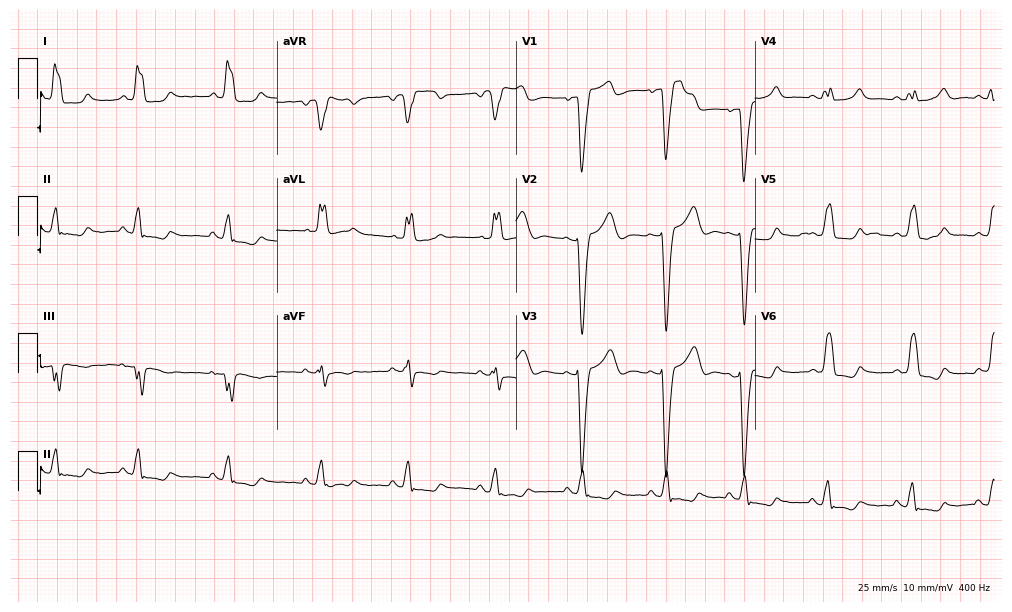
Resting 12-lead electrocardiogram (9.8-second recording at 400 Hz). Patient: a female, 41 years old. The tracing shows left bundle branch block (LBBB).